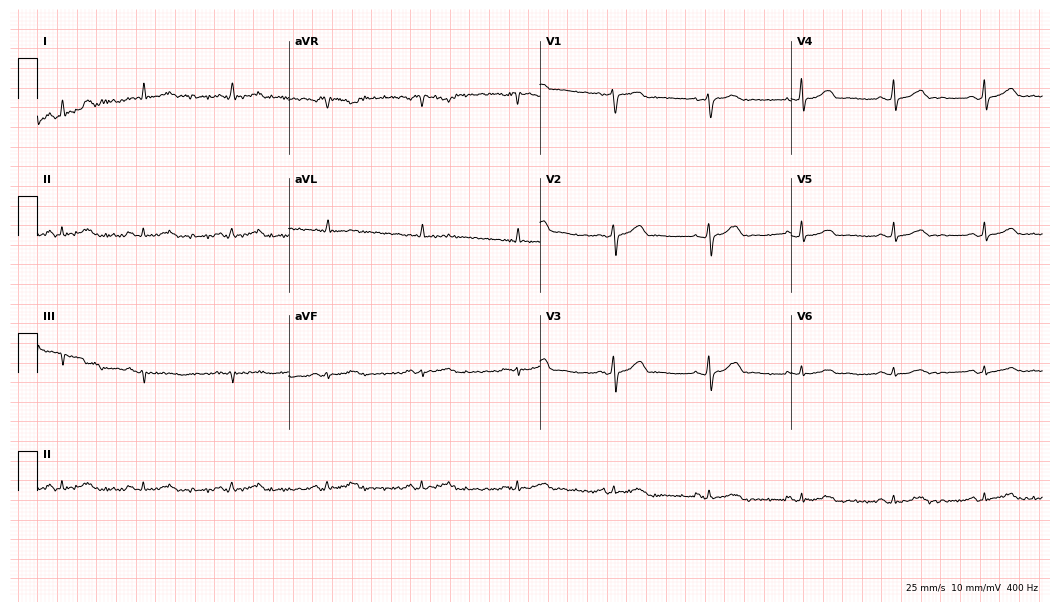
12-lead ECG from a 49-year-old female patient. Screened for six findings — first-degree AV block, right bundle branch block, left bundle branch block, sinus bradycardia, atrial fibrillation, sinus tachycardia — none is recorded.